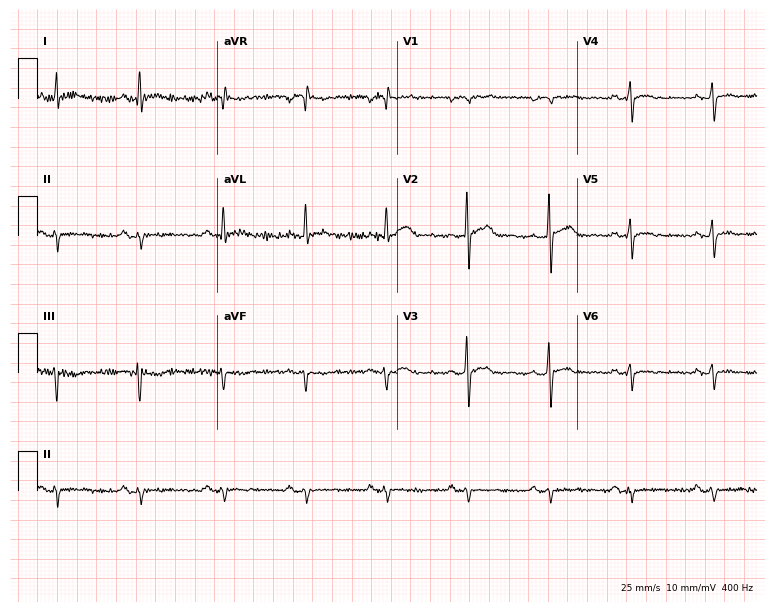
Electrocardiogram, a male, 55 years old. Of the six screened findings (first-degree AV block, right bundle branch block (RBBB), left bundle branch block (LBBB), sinus bradycardia, atrial fibrillation (AF), sinus tachycardia), none is recorded. Other findings, if any, are not listed.